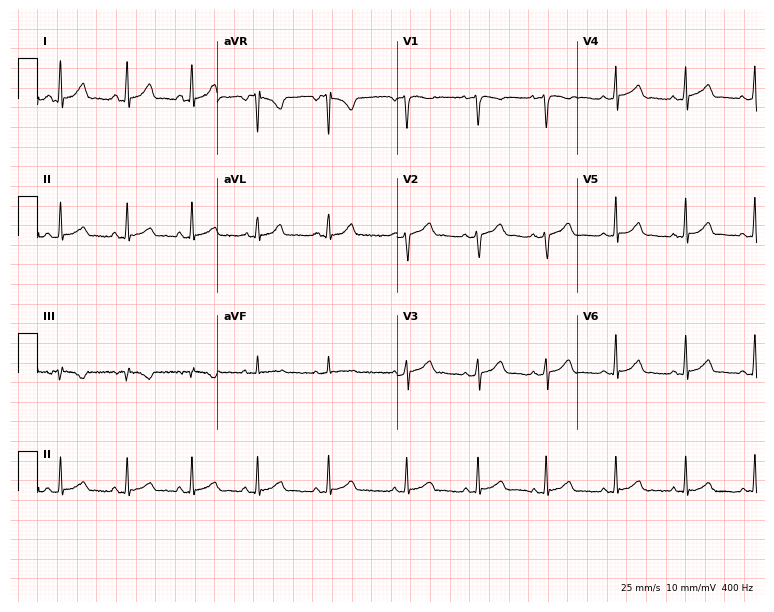
12-lead ECG from a 28-year-old woman. Recorded interpretation: within normal limits.